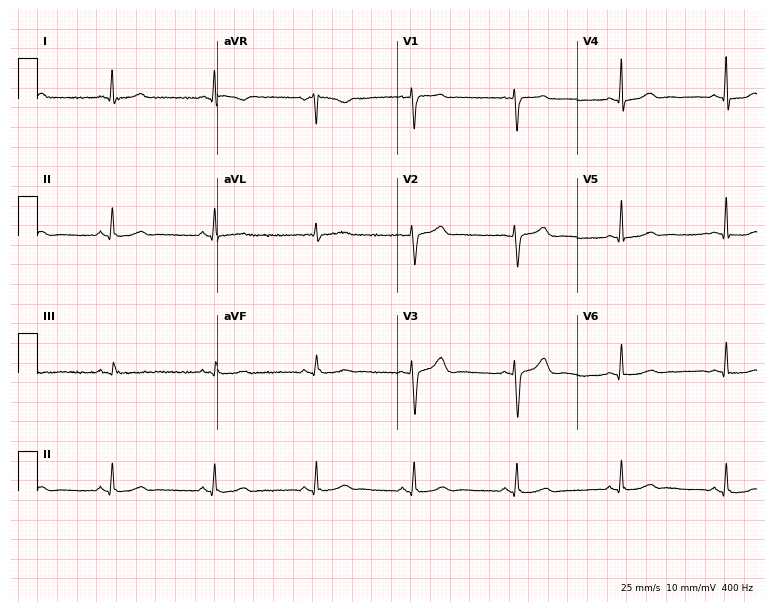
Resting 12-lead electrocardiogram (7.3-second recording at 400 Hz). Patient: a female, 55 years old. Read as a normal ECG.